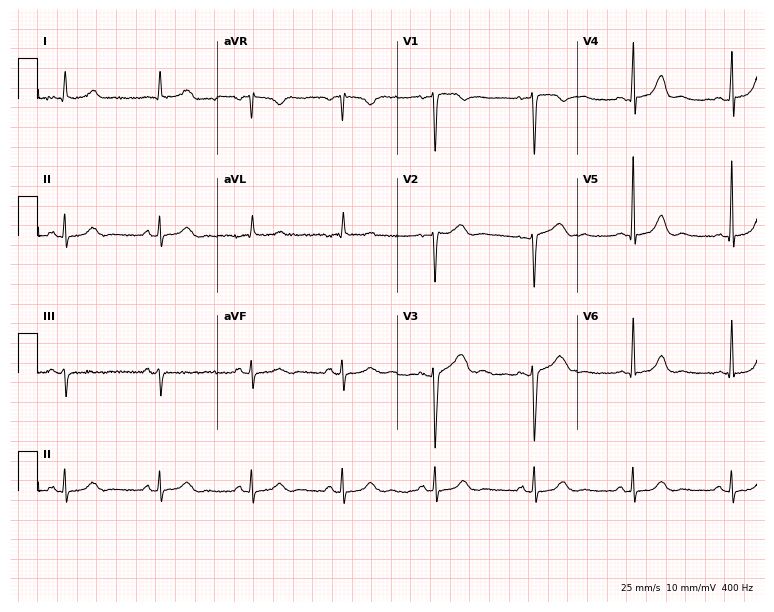
Standard 12-lead ECG recorded from a woman, 62 years old (7.3-second recording at 400 Hz). Read as a normal ECG.